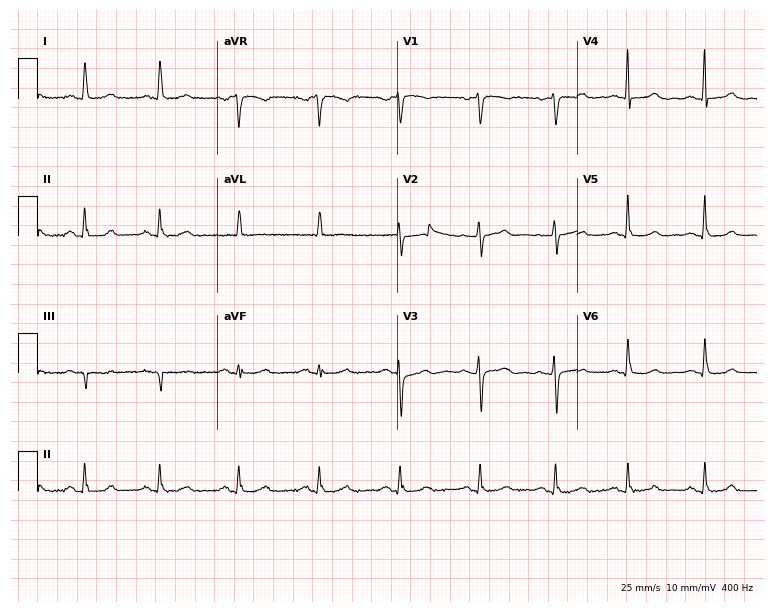
ECG — a 68-year-old male patient. Screened for six findings — first-degree AV block, right bundle branch block, left bundle branch block, sinus bradycardia, atrial fibrillation, sinus tachycardia — none is recorded. Other findings, if any, are not listed.